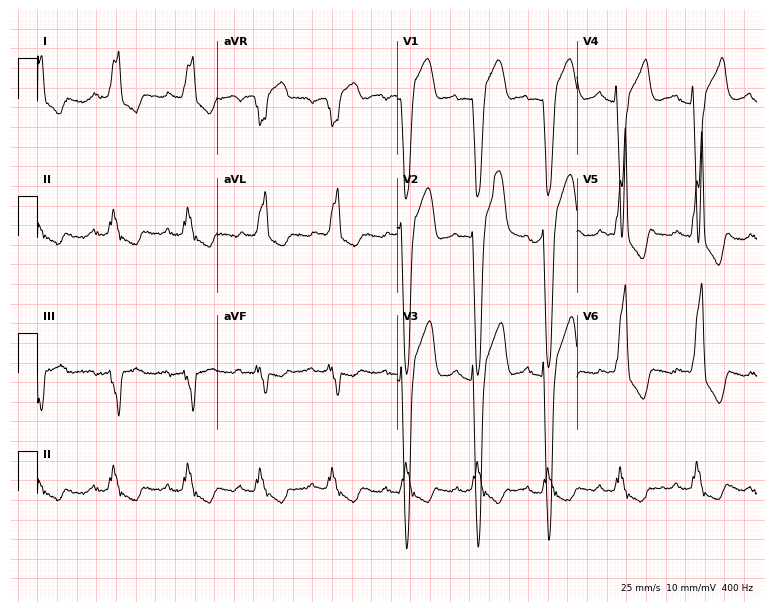
12-lead ECG from a 76-year-old male (7.3-second recording at 400 Hz). Shows left bundle branch block (LBBB).